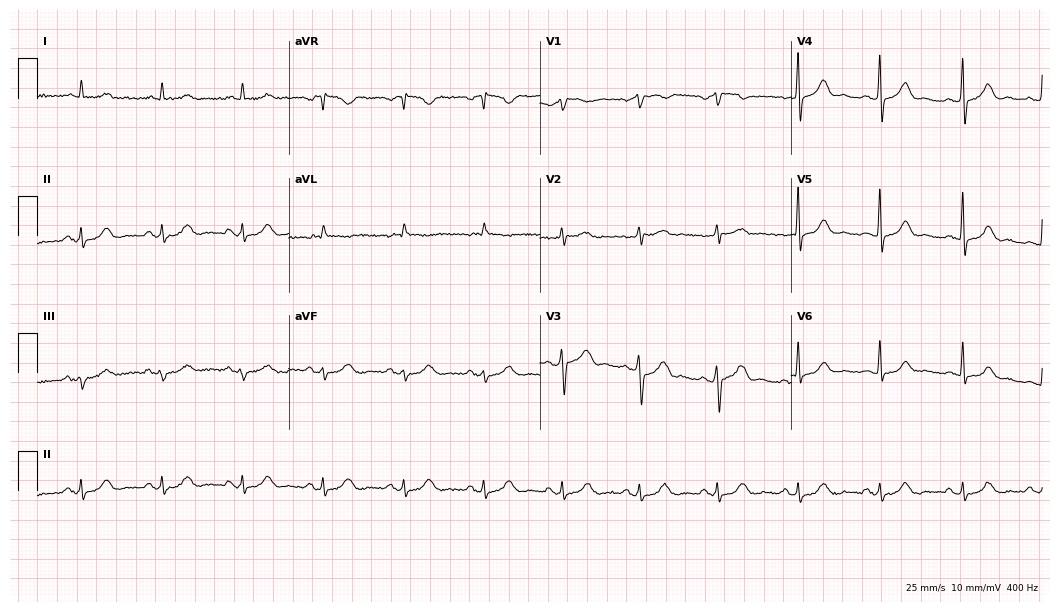
Electrocardiogram, a 69-year-old male patient. Overall reading on record: normal ECG.